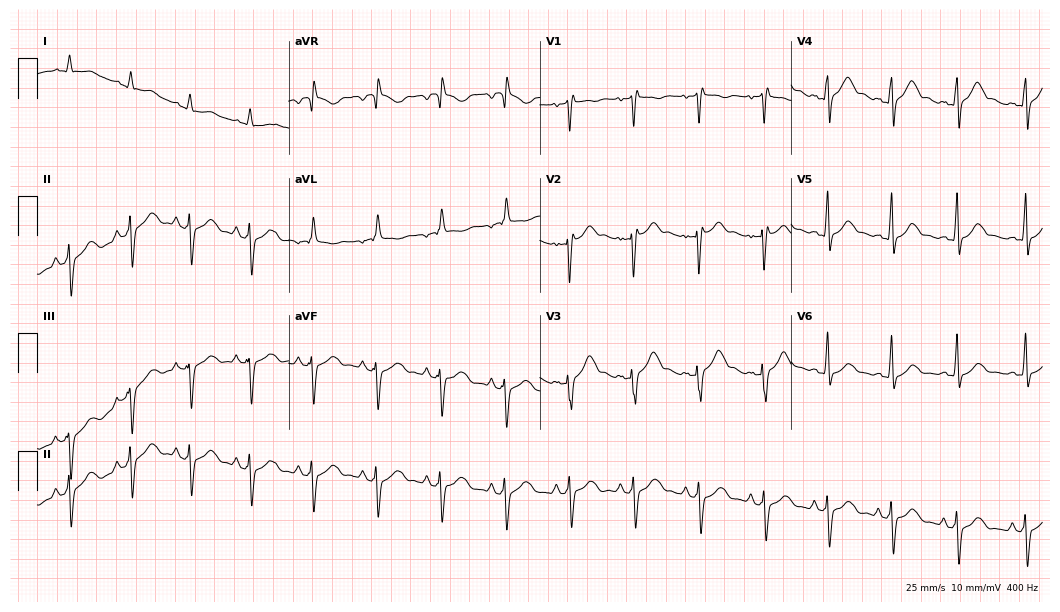
Resting 12-lead electrocardiogram. Patient: a male, 35 years old. None of these six findings is recorded: first-degree AV block, right bundle branch block (RBBB), left bundle branch block (LBBB), sinus bradycardia, atrial fibrillation (AF), sinus tachycardia. Other findings, if any, are not listed.